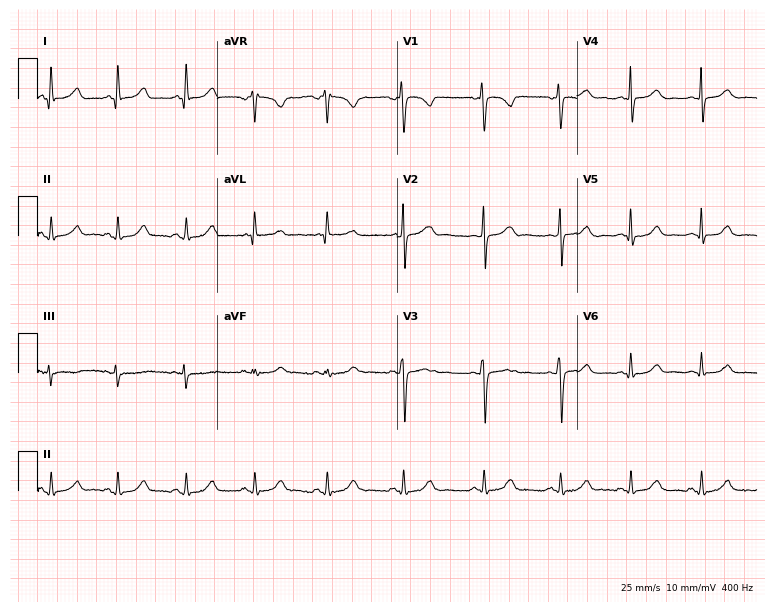
Resting 12-lead electrocardiogram. Patient: a 26-year-old woman. Read as a normal ECG.